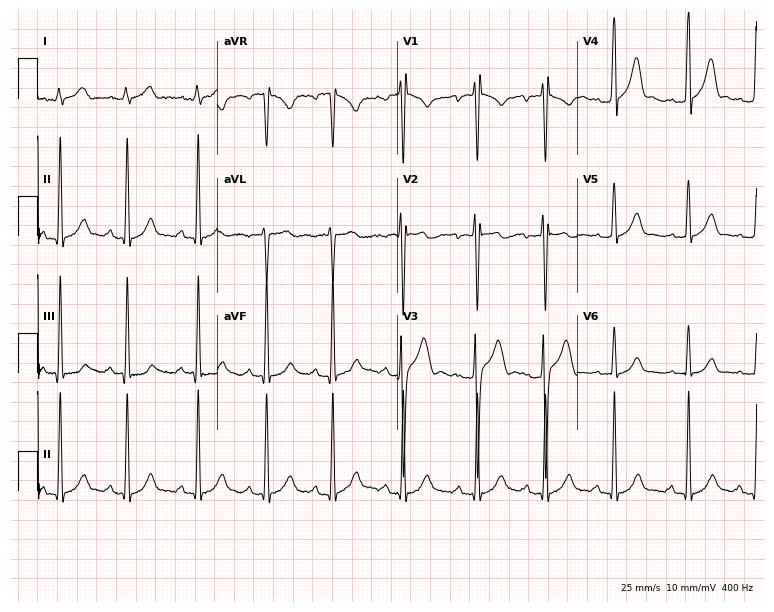
Standard 12-lead ECG recorded from a 17-year-old man (7.3-second recording at 400 Hz). None of these six findings is recorded: first-degree AV block, right bundle branch block (RBBB), left bundle branch block (LBBB), sinus bradycardia, atrial fibrillation (AF), sinus tachycardia.